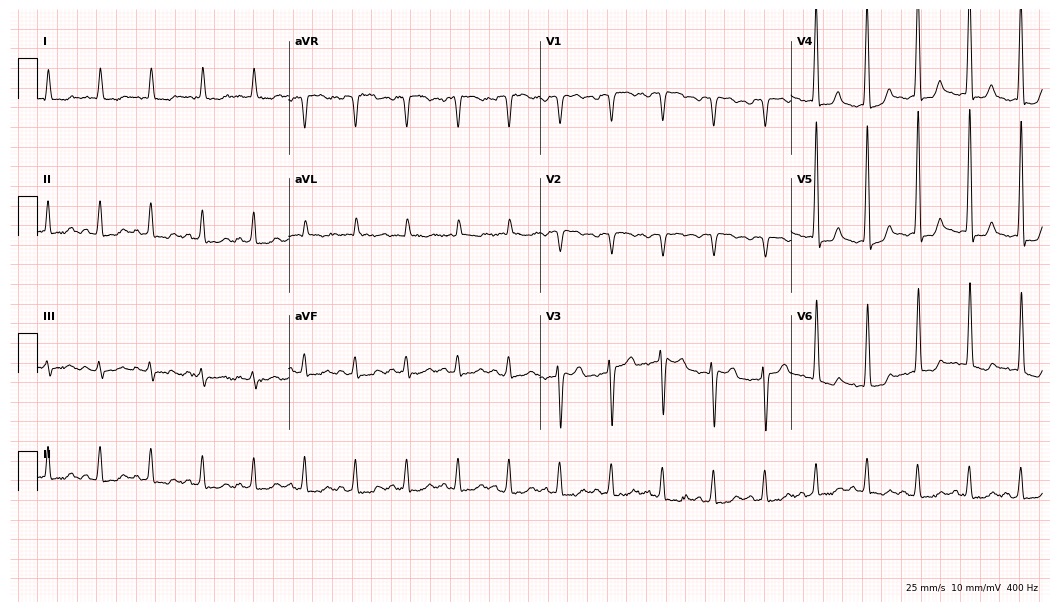
ECG (10.2-second recording at 400 Hz) — a male patient, 76 years old. Findings include sinus tachycardia (a sinus rate of 100 beats per minute or more).